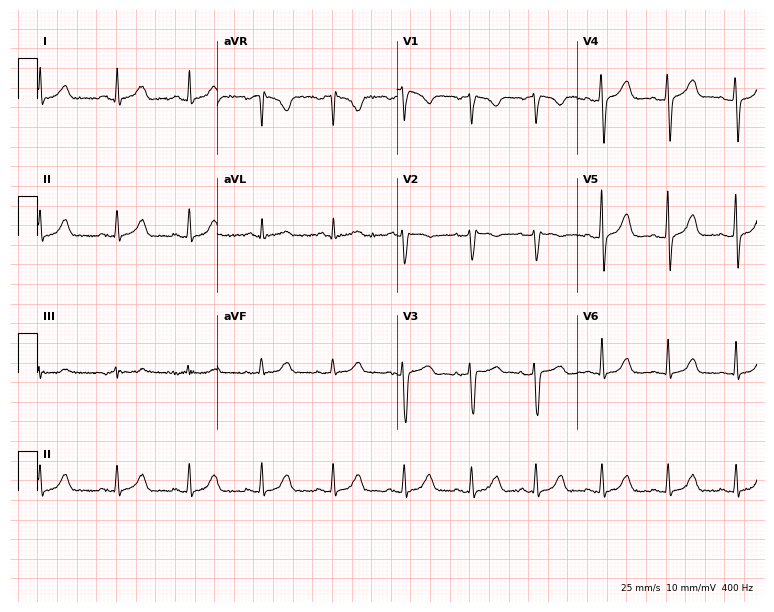
Standard 12-lead ECG recorded from a female, 37 years old. None of these six findings is recorded: first-degree AV block, right bundle branch block, left bundle branch block, sinus bradycardia, atrial fibrillation, sinus tachycardia.